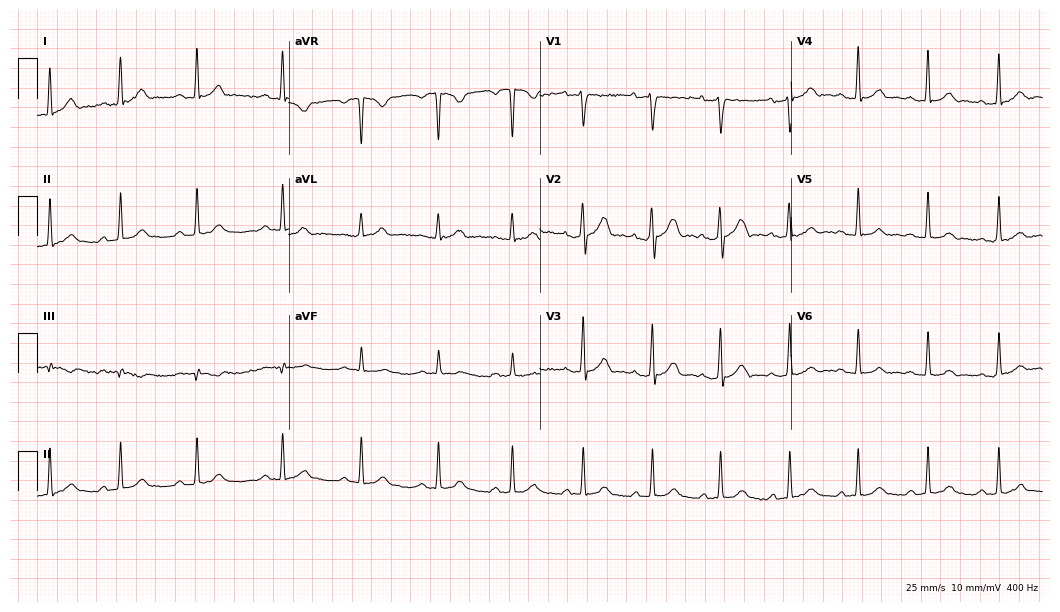
Electrocardiogram, a 29-year-old man. Overall reading on record: normal ECG.